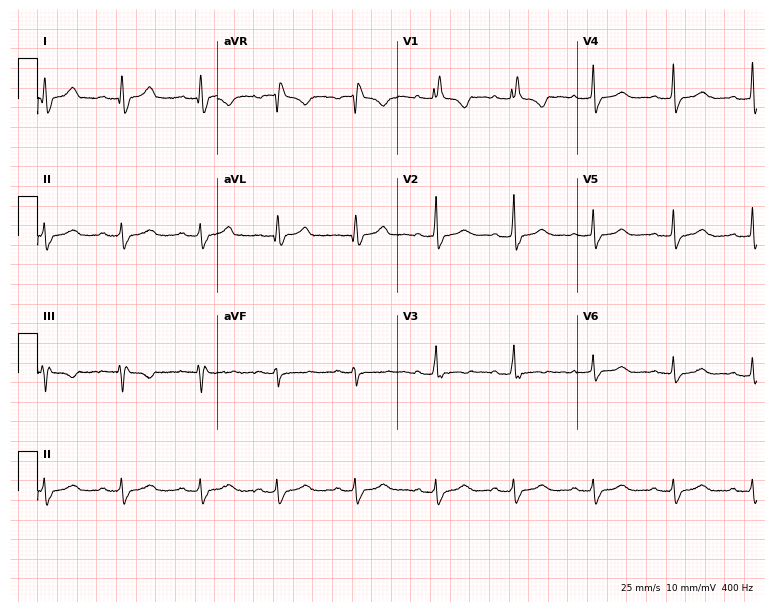
ECG (7.3-second recording at 400 Hz) — a 45-year-old female patient. Screened for six findings — first-degree AV block, right bundle branch block (RBBB), left bundle branch block (LBBB), sinus bradycardia, atrial fibrillation (AF), sinus tachycardia — none is recorded. Findings outside these six are not listed.